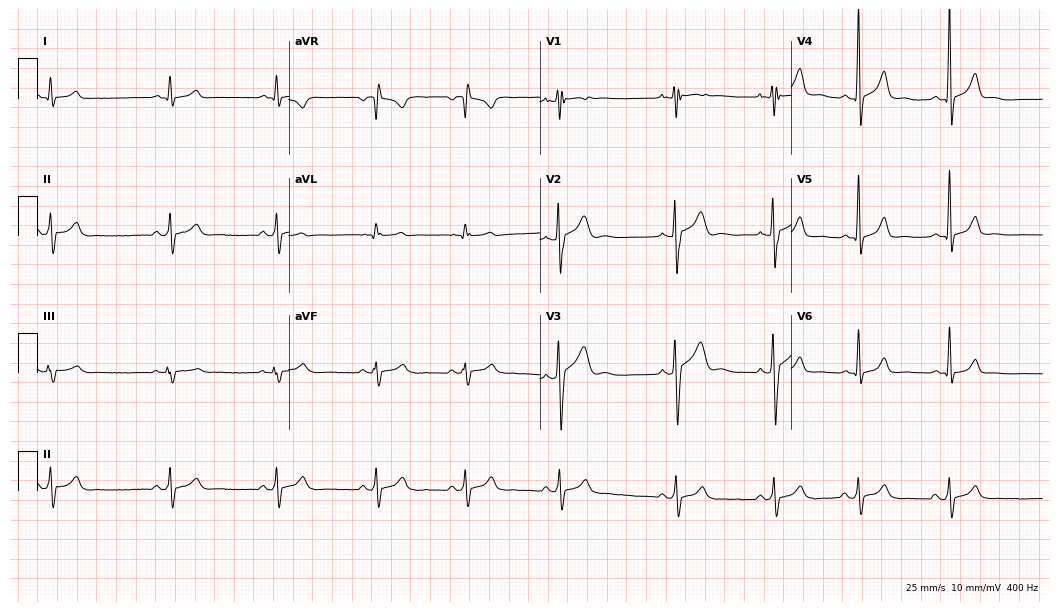
Standard 12-lead ECG recorded from a male, 17 years old (10.2-second recording at 400 Hz). Read as a normal ECG.